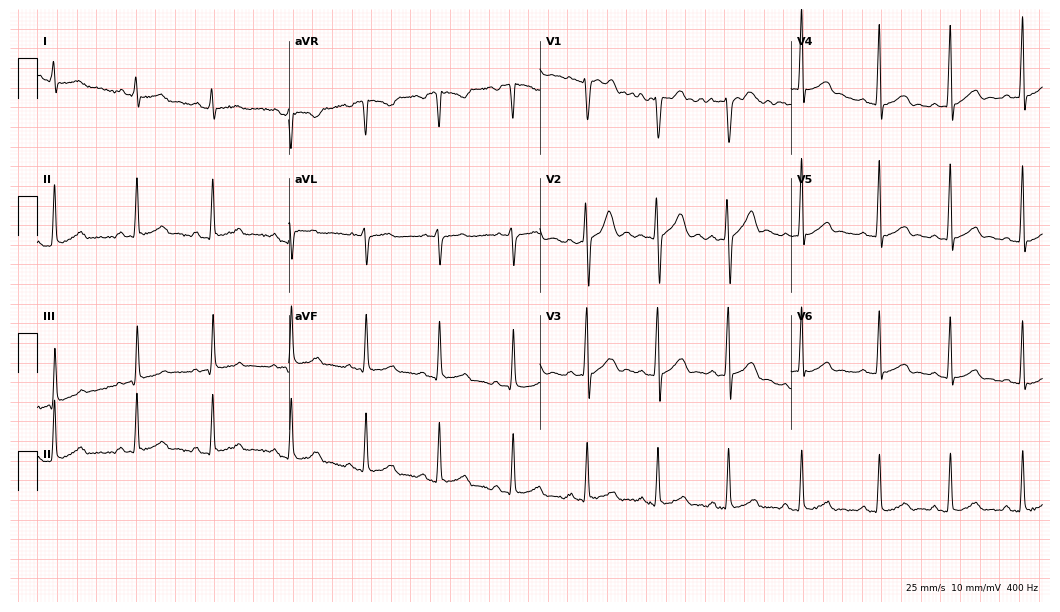
Electrocardiogram, a male patient, 17 years old. Overall reading on record: normal ECG.